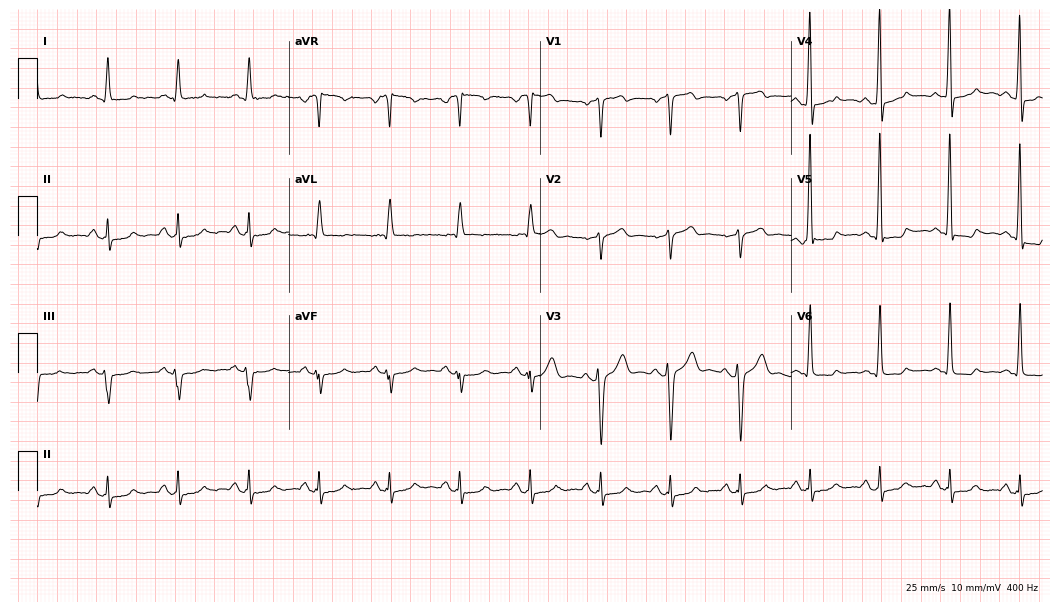
12-lead ECG from a male patient, 74 years old. No first-degree AV block, right bundle branch block, left bundle branch block, sinus bradycardia, atrial fibrillation or sinus tachycardia recorded for this tracing.